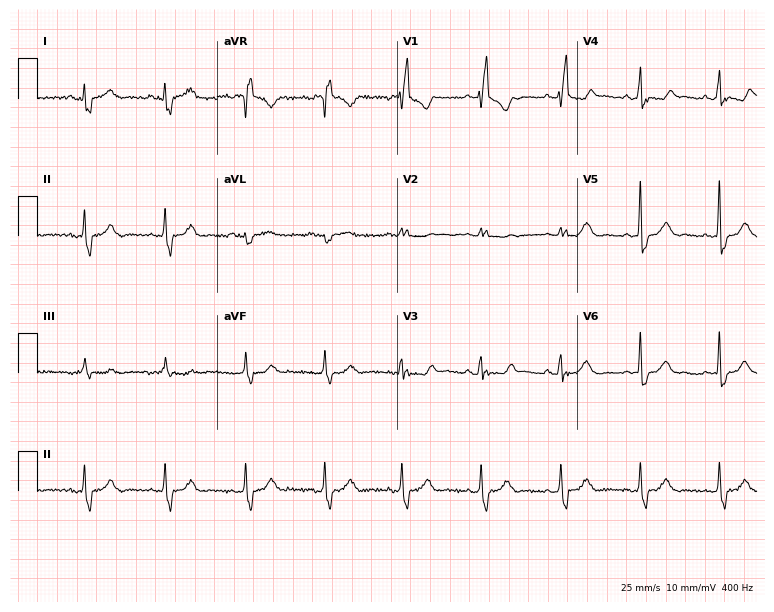
Resting 12-lead electrocardiogram. Patient: a woman, 52 years old. None of these six findings is recorded: first-degree AV block, right bundle branch block, left bundle branch block, sinus bradycardia, atrial fibrillation, sinus tachycardia. Other findings, if any, are not listed.